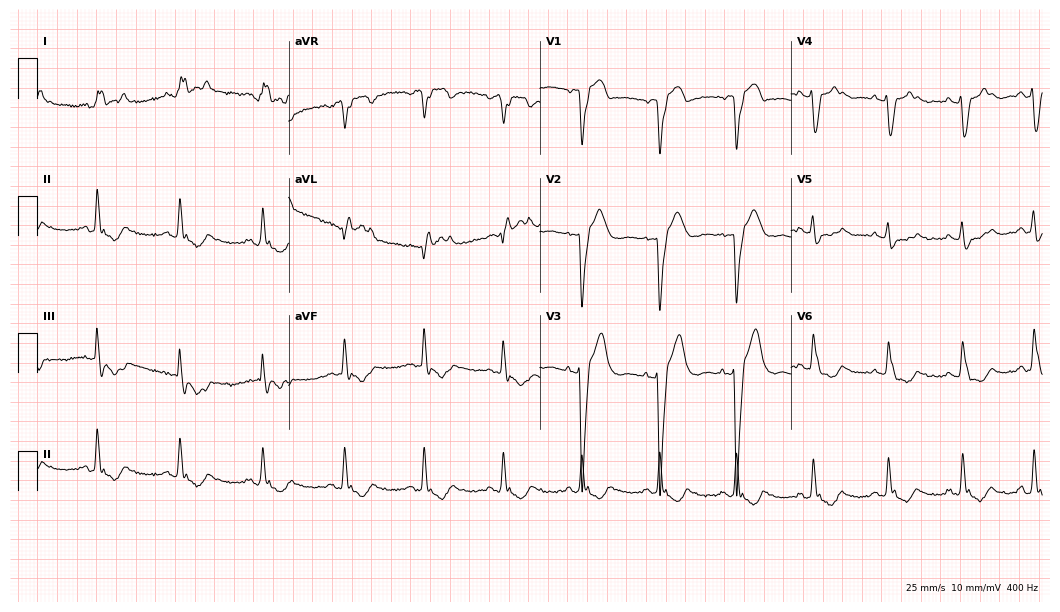
Resting 12-lead electrocardiogram (10.2-second recording at 400 Hz). Patient: a 47-year-old female. The tracing shows left bundle branch block.